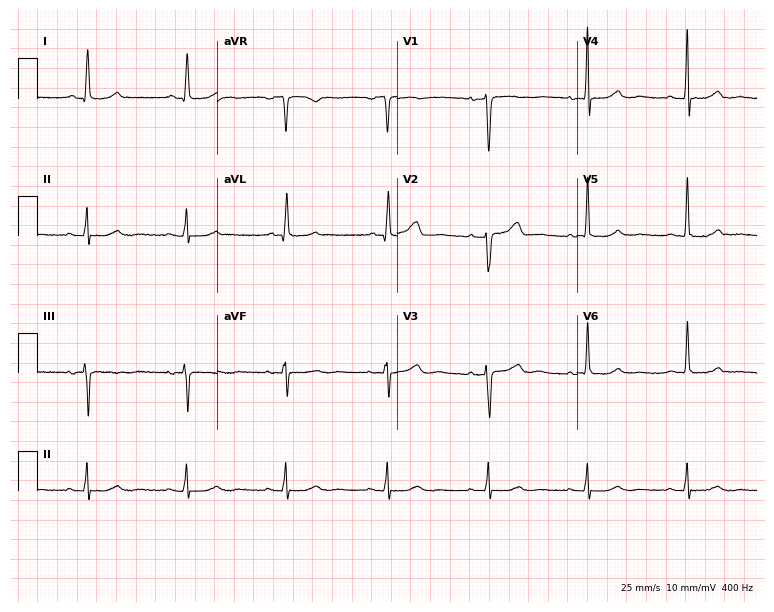
ECG — a female patient, 65 years old. Screened for six findings — first-degree AV block, right bundle branch block, left bundle branch block, sinus bradycardia, atrial fibrillation, sinus tachycardia — none is recorded.